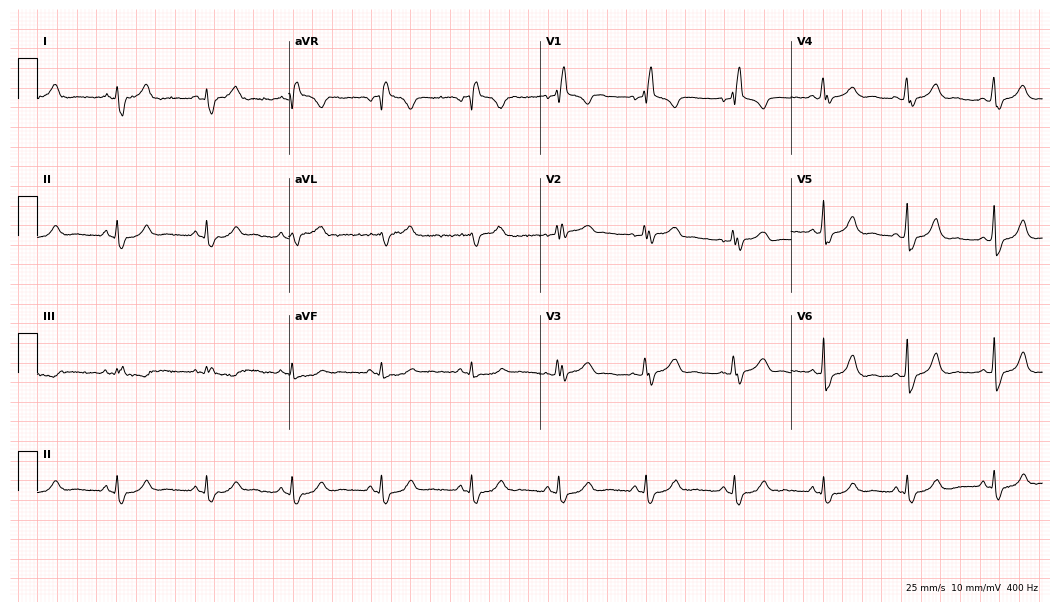
Electrocardiogram (10.2-second recording at 400 Hz), a 47-year-old woman. Interpretation includes right bundle branch block.